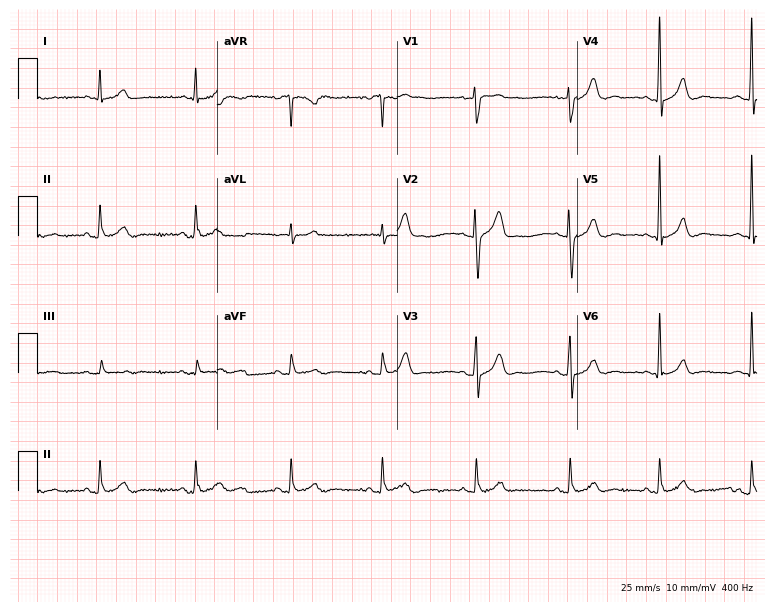
ECG — a 36-year-old man. Labelled as a normal ECG.